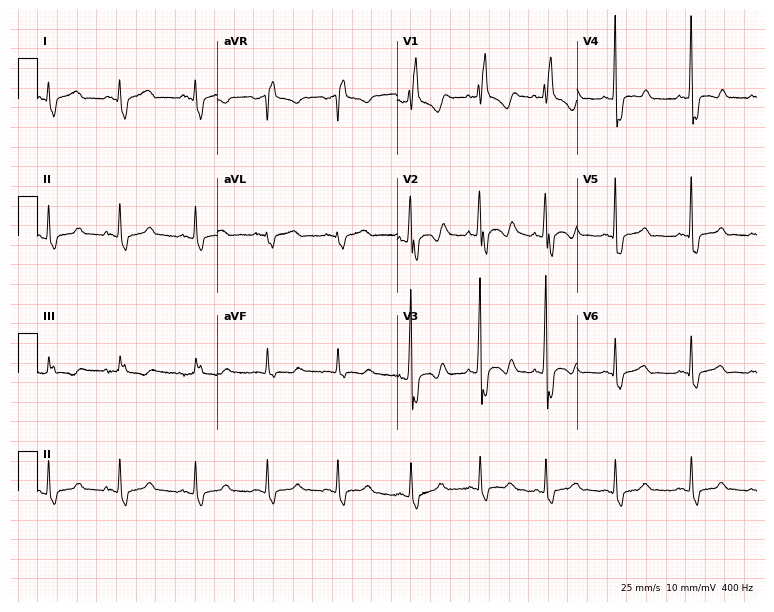
Resting 12-lead electrocardiogram. Patient: a 35-year-old man. The tracing shows right bundle branch block (RBBB).